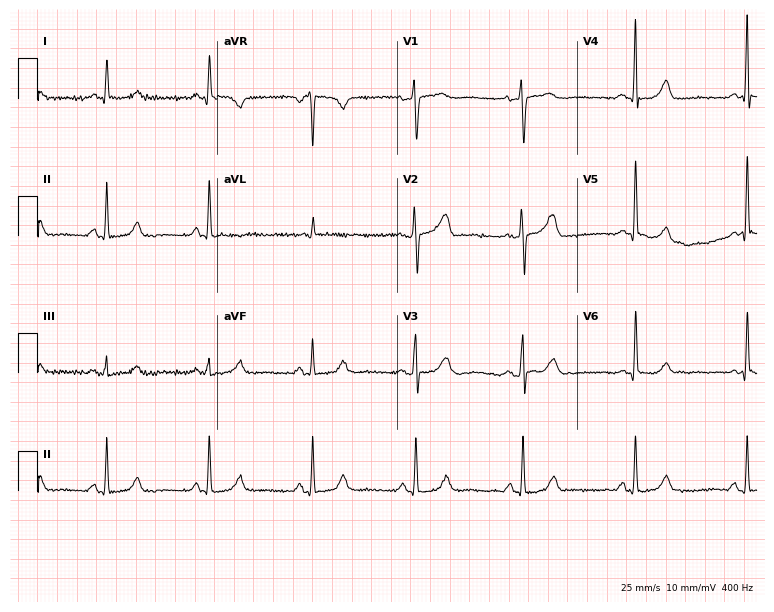
Resting 12-lead electrocardiogram (7.3-second recording at 400 Hz). Patient: a male, 60 years old. None of these six findings is recorded: first-degree AV block, right bundle branch block, left bundle branch block, sinus bradycardia, atrial fibrillation, sinus tachycardia.